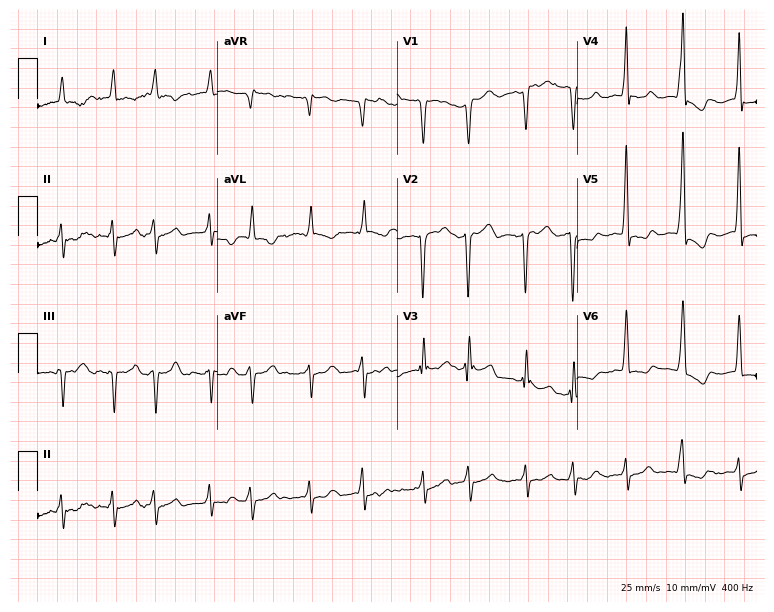
12-lead ECG from a 79-year-old male patient. Findings include atrial fibrillation.